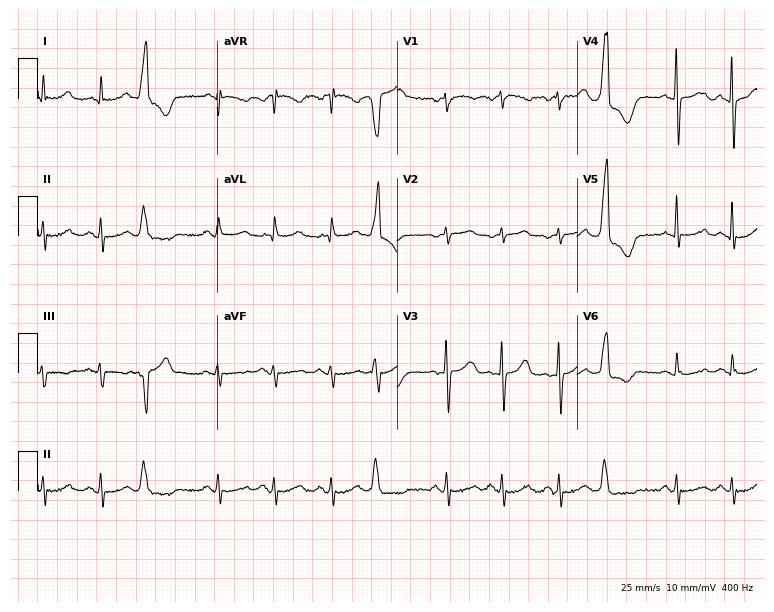
ECG (7.3-second recording at 400 Hz) — a female, 72 years old. Screened for six findings — first-degree AV block, right bundle branch block, left bundle branch block, sinus bradycardia, atrial fibrillation, sinus tachycardia — none is recorded. Other findings, if any, are not listed.